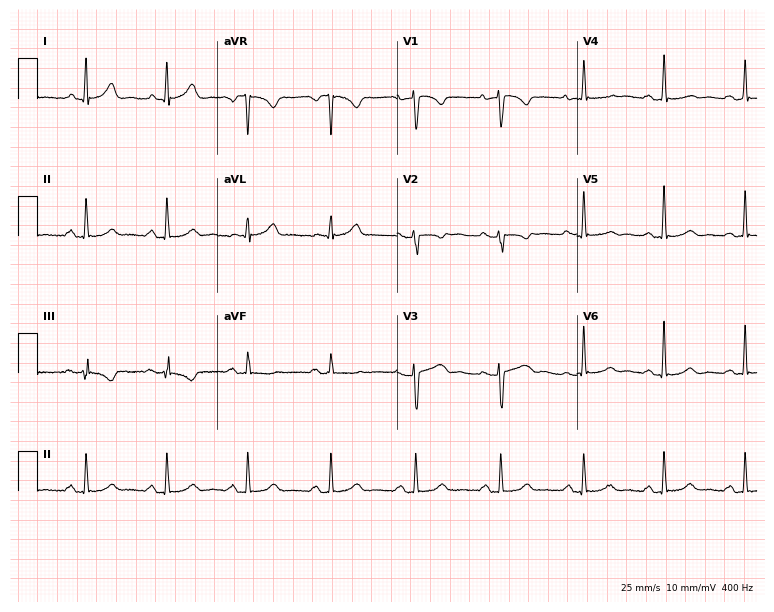
Electrocardiogram, a 39-year-old woman. Of the six screened findings (first-degree AV block, right bundle branch block (RBBB), left bundle branch block (LBBB), sinus bradycardia, atrial fibrillation (AF), sinus tachycardia), none is recorded. Other findings, if any, are not listed.